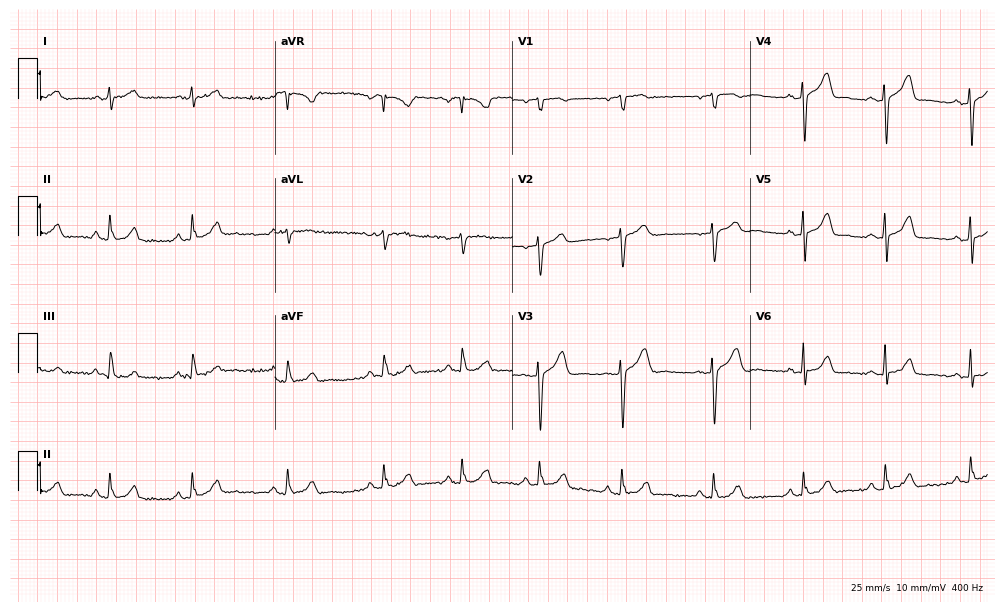
ECG — a male patient, 29 years old. Screened for six findings — first-degree AV block, right bundle branch block, left bundle branch block, sinus bradycardia, atrial fibrillation, sinus tachycardia — none is recorded.